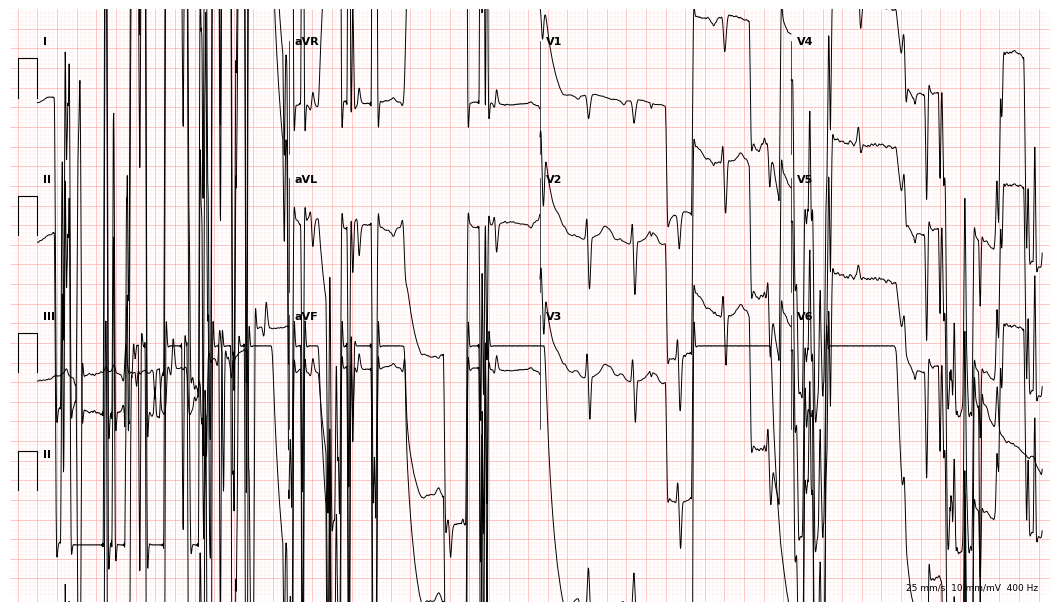
Standard 12-lead ECG recorded from a 22-year-old female (10.2-second recording at 400 Hz). None of these six findings is recorded: first-degree AV block, right bundle branch block, left bundle branch block, sinus bradycardia, atrial fibrillation, sinus tachycardia. Other findings, if any, are not listed.